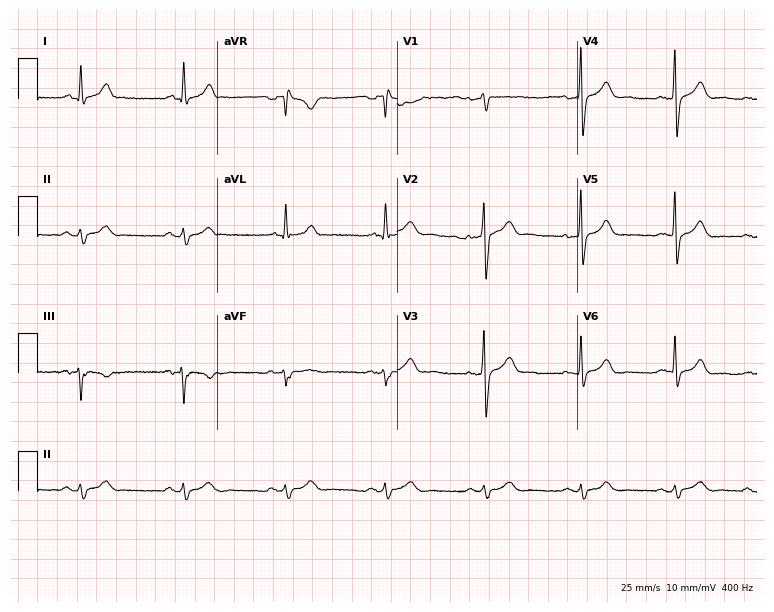
12-lead ECG from a 43-year-old male. Screened for six findings — first-degree AV block, right bundle branch block, left bundle branch block, sinus bradycardia, atrial fibrillation, sinus tachycardia — none is recorded. Other findings, if any, are not listed.